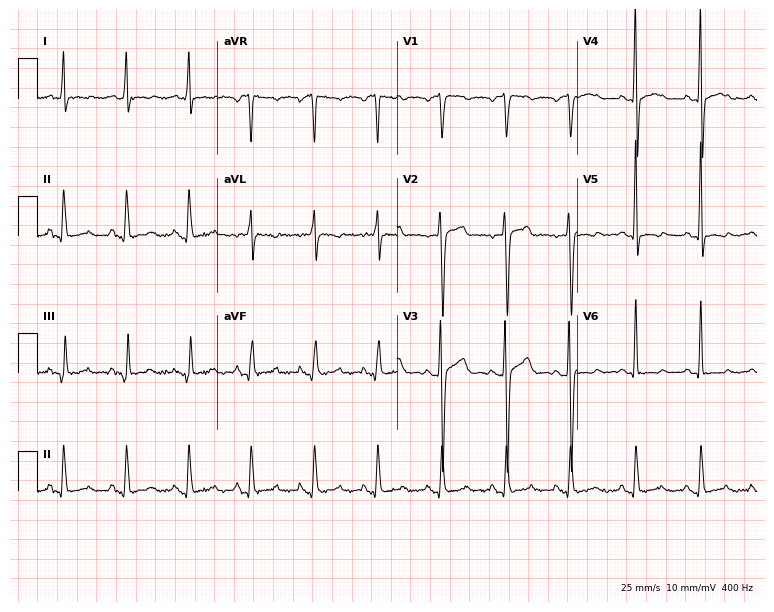
Standard 12-lead ECG recorded from a man, 66 years old (7.3-second recording at 400 Hz). None of these six findings is recorded: first-degree AV block, right bundle branch block, left bundle branch block, sinus bradycardia, atrial fibrillation, sinus tachycardia.